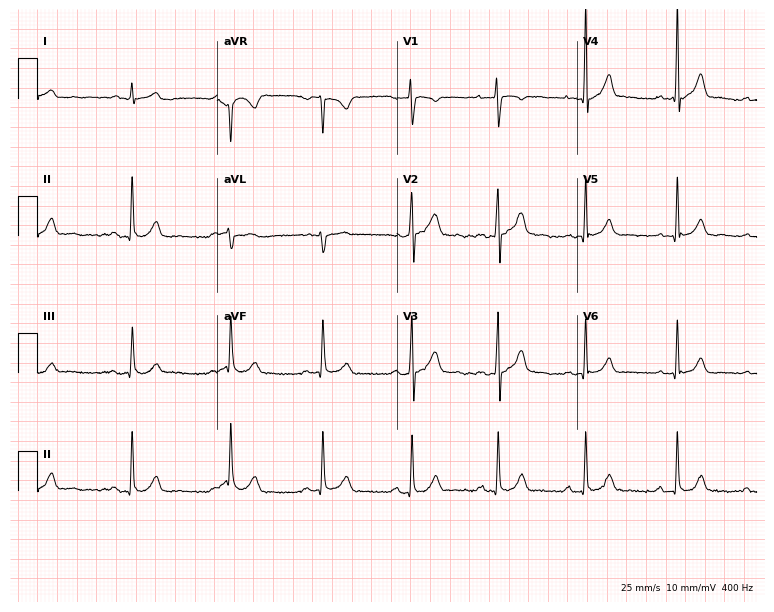
12-lead ECG (7.3-second recording at 400 Hz) from a 33-year-old male. Labelled as a normal ECG.